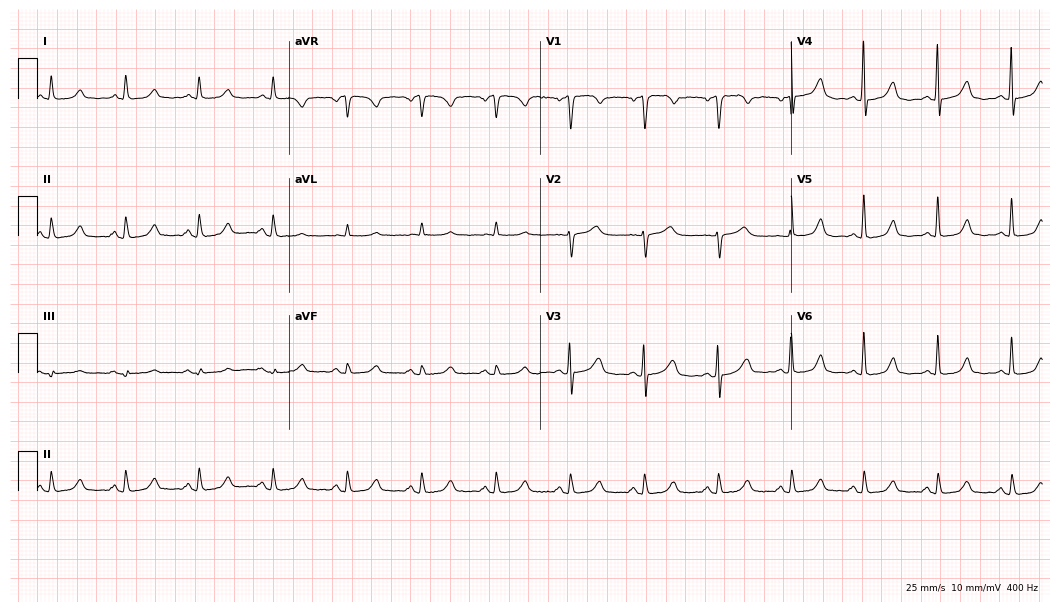
12-lead ECG from a 65-year-old woman (10.2-second recording at 400 Hz). Recorded interpretation: within normal limits.